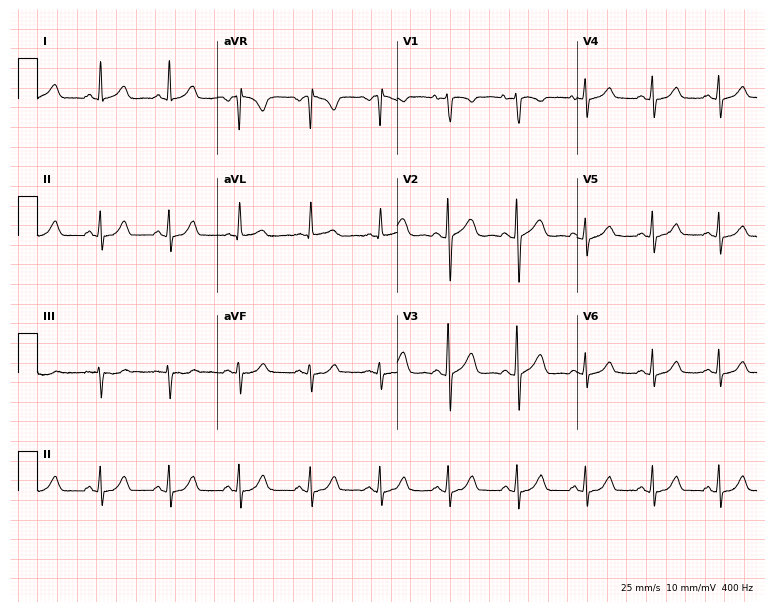
ECG (7.3-second recording at 400 Hz) — a 40-year-old female. Labelled as a normal ECG.